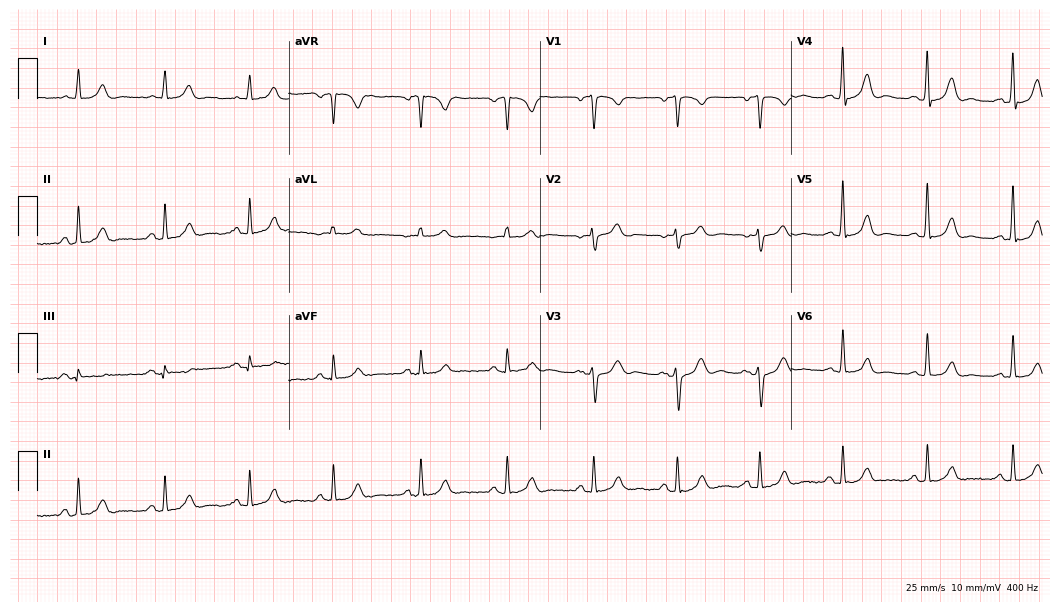
Resting 12-lead electrocardiogram. Patient: a man, 45 years old. Read as a normal ECG.